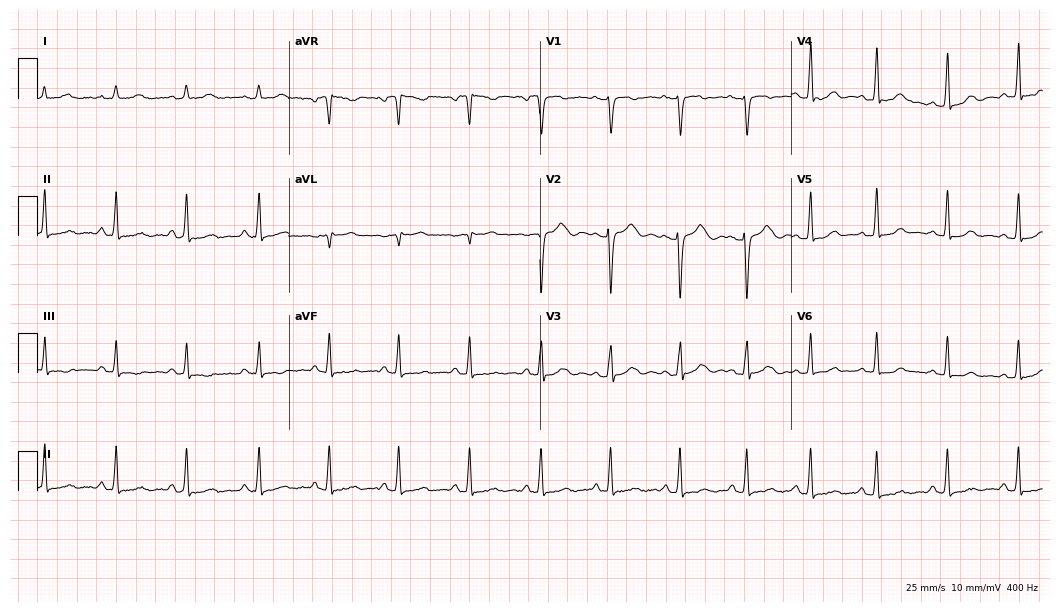
ECG (10.2-second recording at 400 Hz) — a 30-year-old woman. Screened for six findings — first-degree AV block, right bundle branch block, left bundle branch block, sinus bradycardia, atrial fibrillation, sinus tachycardia — none is recorded. Other findings, if any, are not listed.